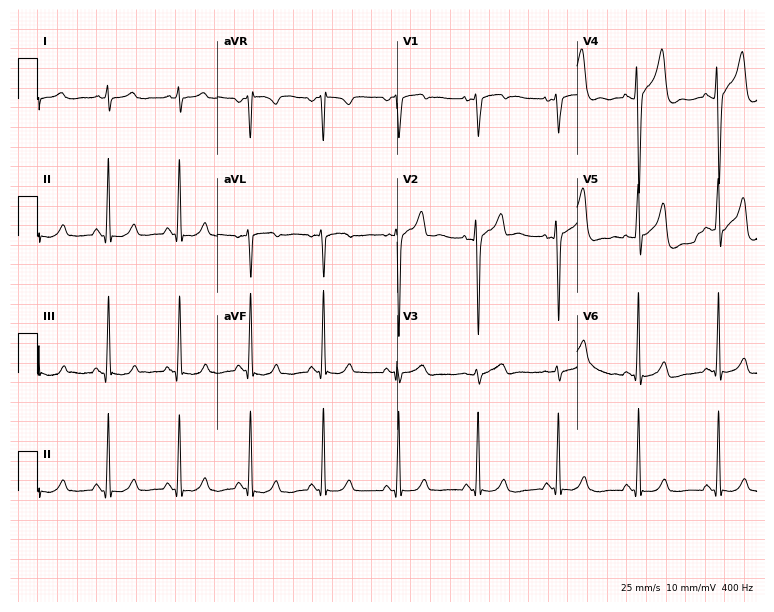
Resting 12-lead electrocardiogram (7.3-second recording at 400 Hz). Patient: a man, 43 years old. None of these six findings is recorded: first-degree AV block, right bundle branch block, left bundle branch block, sinus bradycardia, atrial fibrillation, sinus tachycardia.